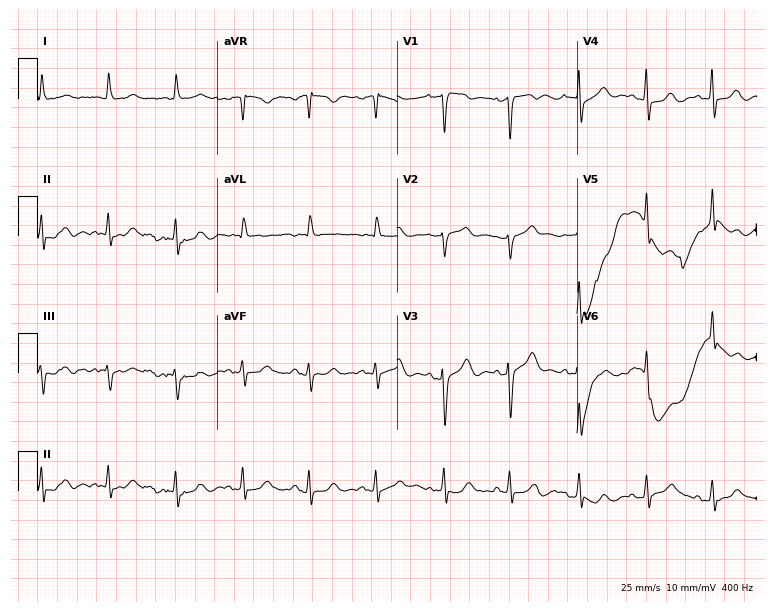
12-lead ECG from a woman, 80 years old. Screened for six findings — first-degree AV block, right bundle branch block (RBBB), left bundle branch block (LBBB), sinus bradycardia, atrial fibrillation (AF), sinus tachycardia — none is recorded.